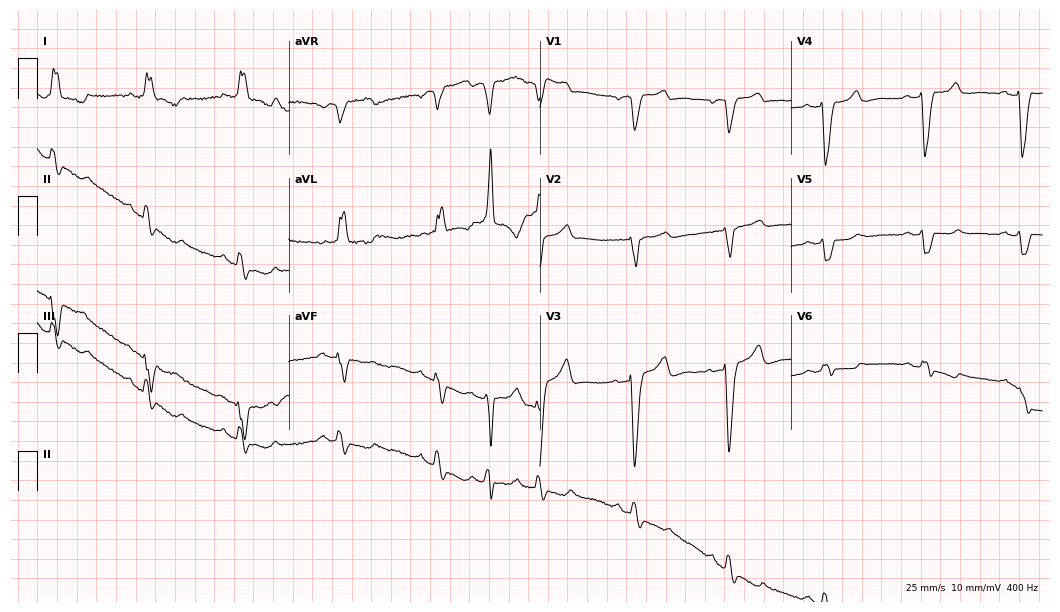
Resting 12-lead electrocardiogram (10.2-second recording at 400 Hz). Patient: a 67-year-old woman. None of these six findings is recorded: first-degree AV block, right bundle branch block, left bundle branch block, sinus bradycardia, atrial fibrillation, sinus tachycardia. Other findings, if any, are not listed.